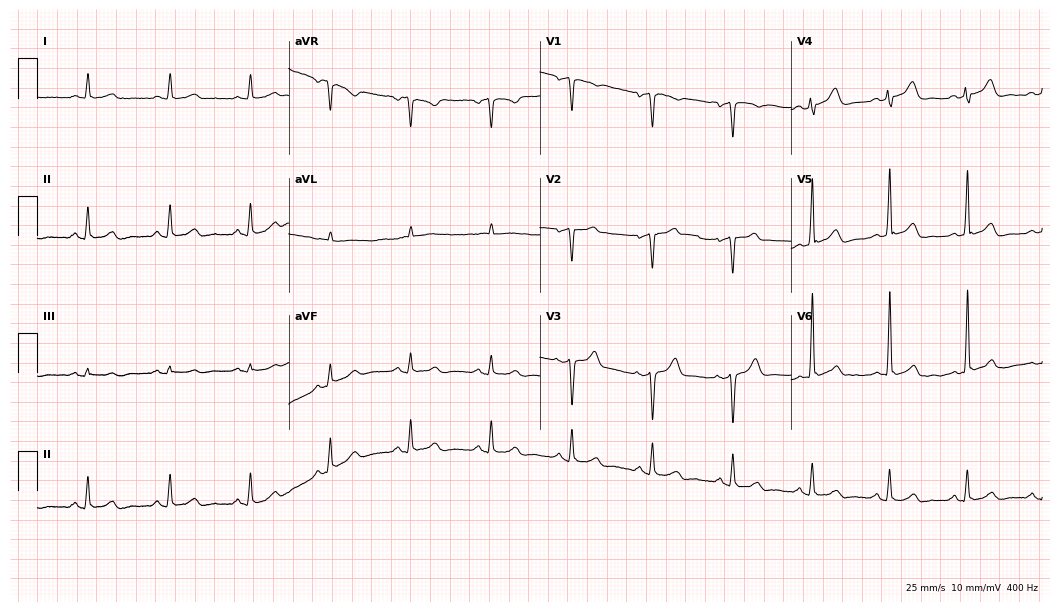
12-lead ECG from a male patient, 51 years old. Screened for six findings — first-degree AV block, right bundle branch block, left bundle branch block, sinus bradycardia, atrial fibrillation, sinus tachycardia — none is recorded.